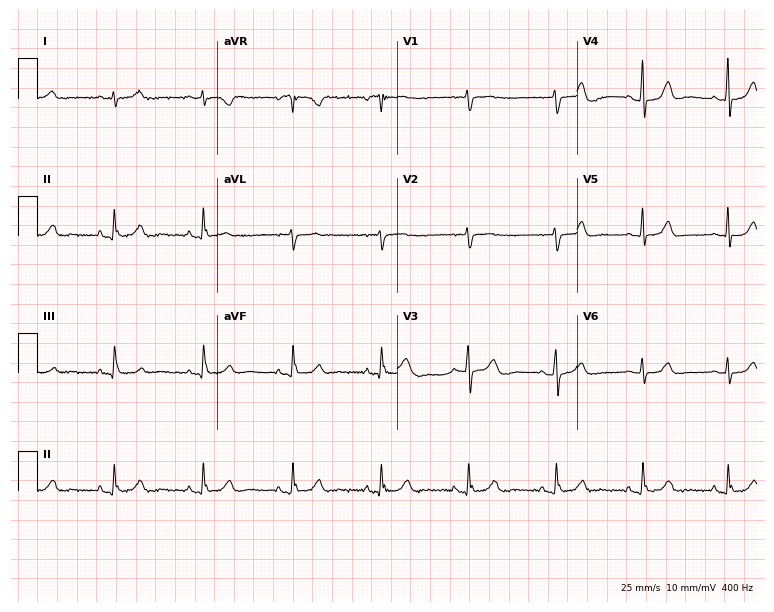
ECG (7.3-second recording at 400 Hz) — a female patient, 81 years old. Labelled as a normal ECG.